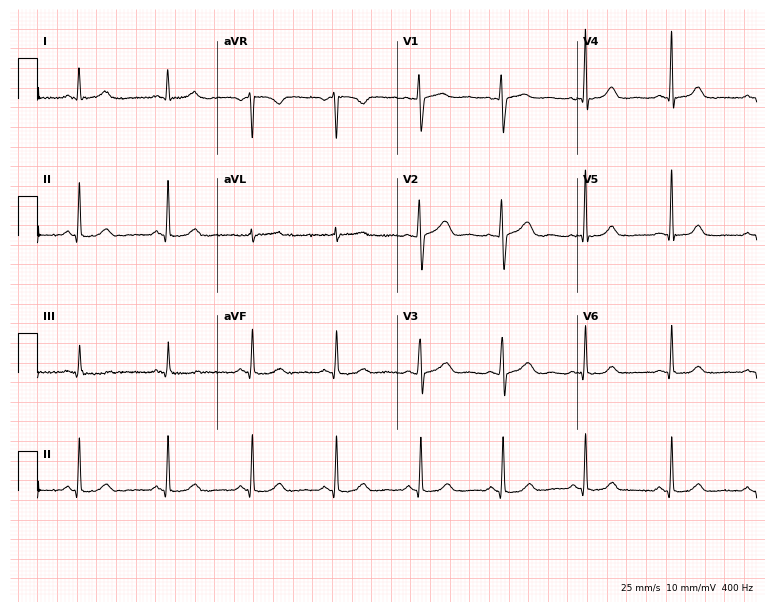
Resting 12-lead electrocardiogram. Patient: a woman, 49 years old. None of these six findings is recorded: first-degree AV block, right bundle branch block, left bundle branch block, sinus bradycardia, atrial fibrillation, sinus tachycardia. Other findings, if any, are not listed.